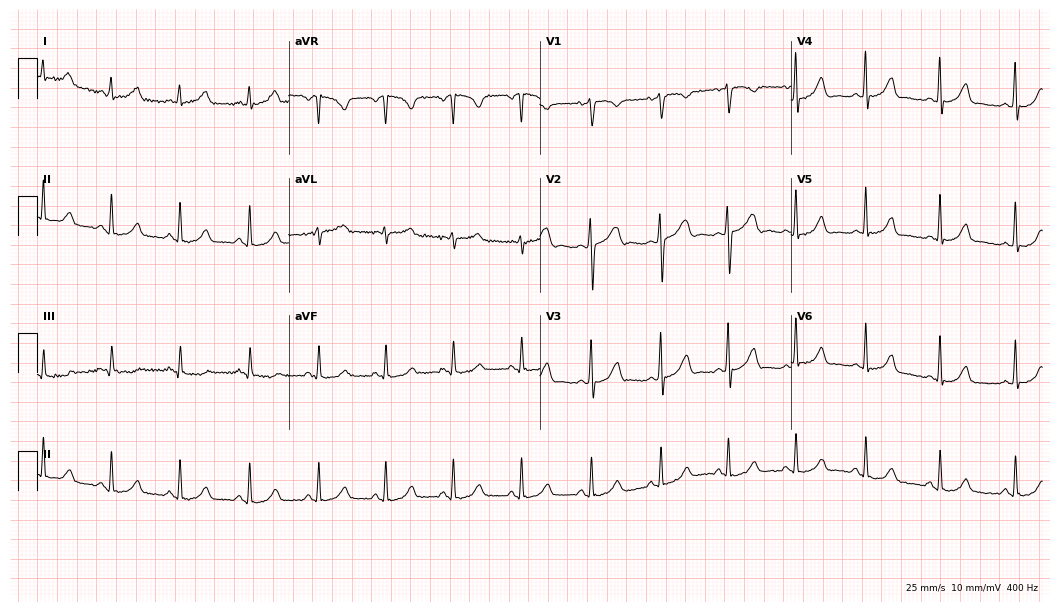
12-lead ECG from a 21-year-old woman. Recorded interpretation: within normal limits.